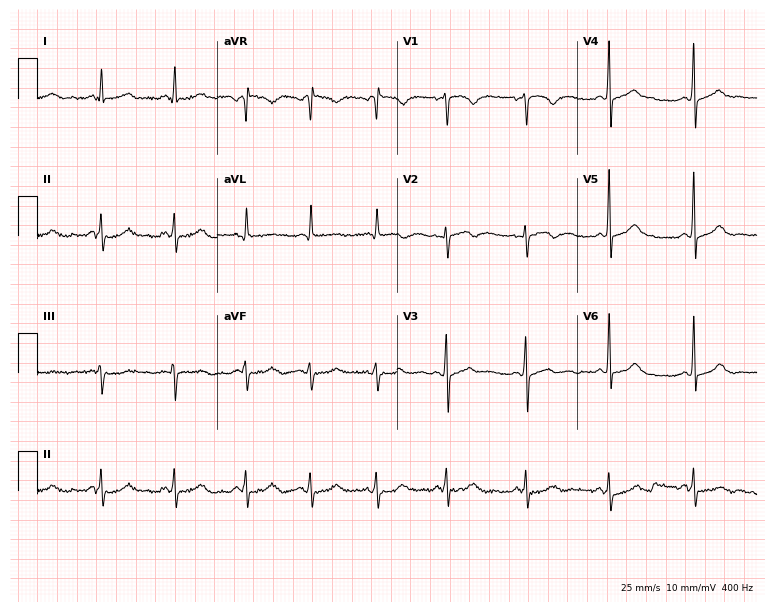
Resting 12-lead electrocardiogram. Patient: a female, 30 years old. Read as a normal ECG.